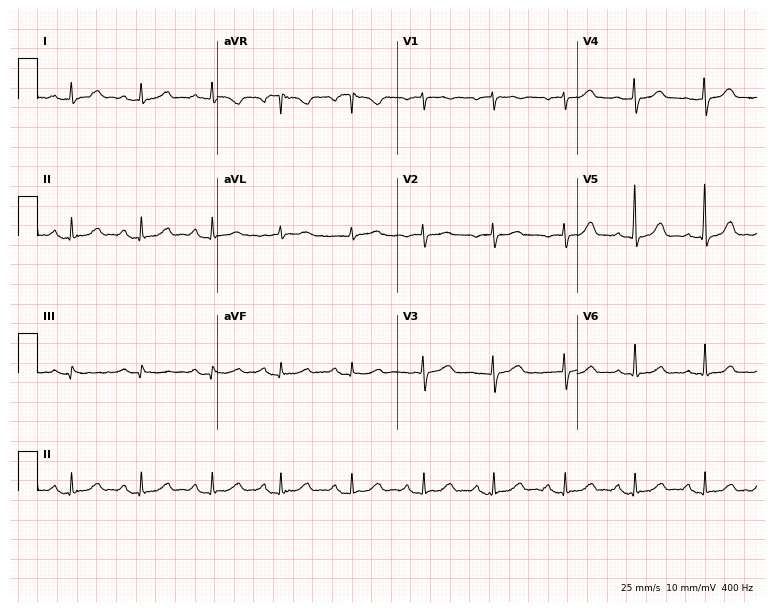
Resting 12-lead electrocardiogram (7.3-second recording at 400 Hz). Patient: a woman, 67 years old. None of these six findings is recorded: first-degree AV block, right bundle branch block, left bundle branch block, sinus bradycardia, atrial fibrillation, sinus tachycardia. Only these six findings were labelled.